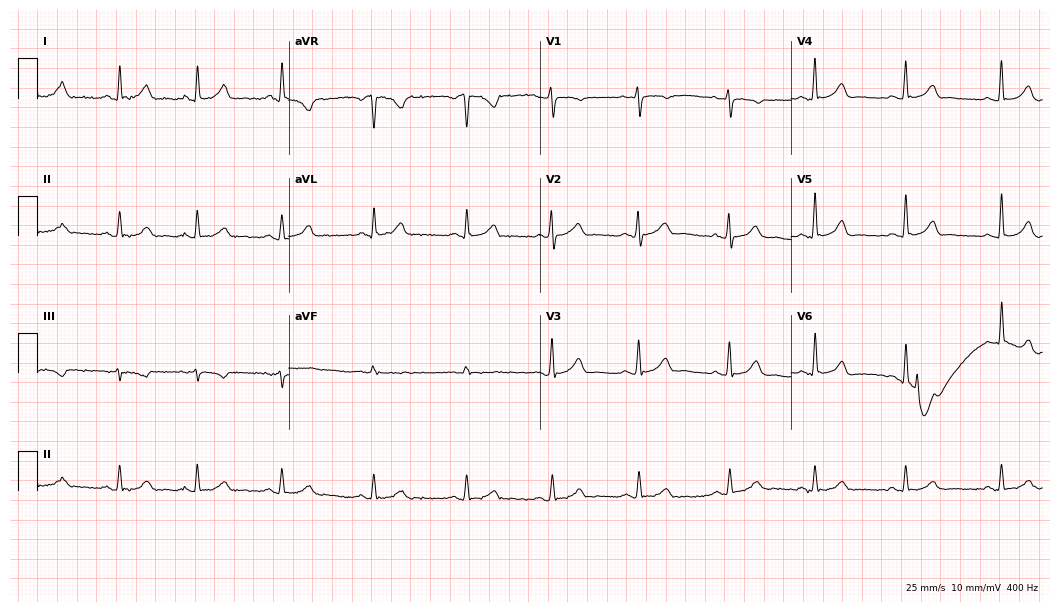
Electrocardiogram, a 38-year-old female patient. Overall reading on record: normal ECG.